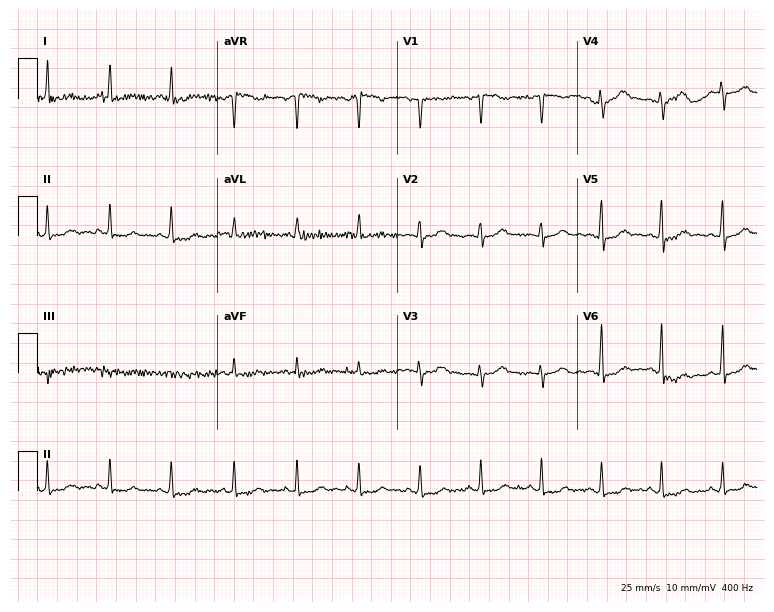
ECG (7.3-second recording at 400 Hz) — a 46-year-old female patient. Screened for six findings — first-degree AV block, right bundle branch block (RBBB), left bundle branch block (LBBB), sinus bradycardia, atrial fibrillation (AF), sinus tachycardia — none is recorded.